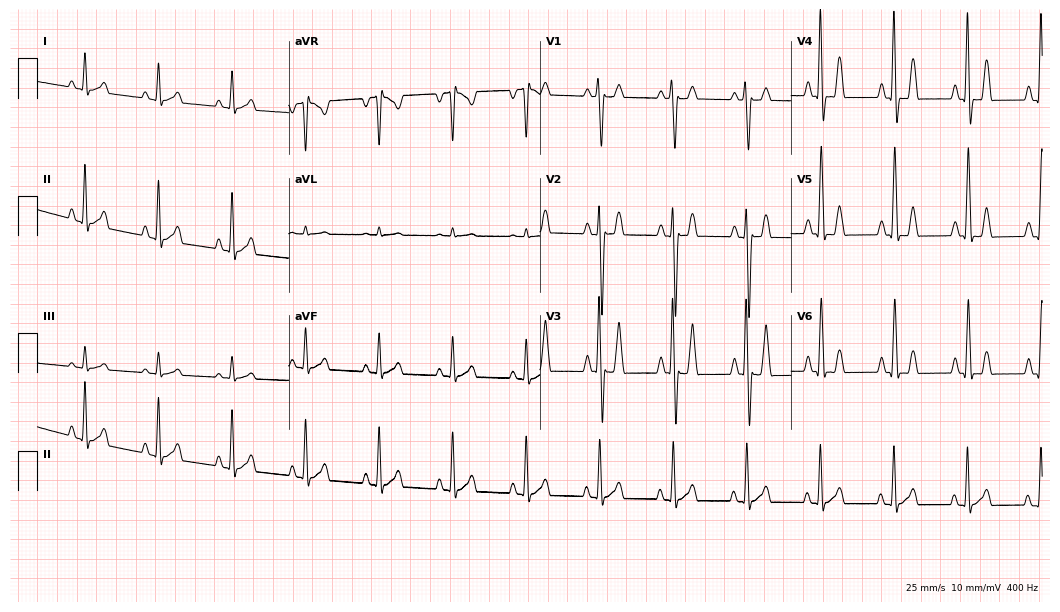
12-lead ECG (10.2-second recording at 400 Hz) from a woman, 40 years old. Screened for six findings — first-degree AV block, right bundle branch block, left bundle branch block, sinus bradycardia, atrial fibrillation, sinus tachycardia — none is recorded.